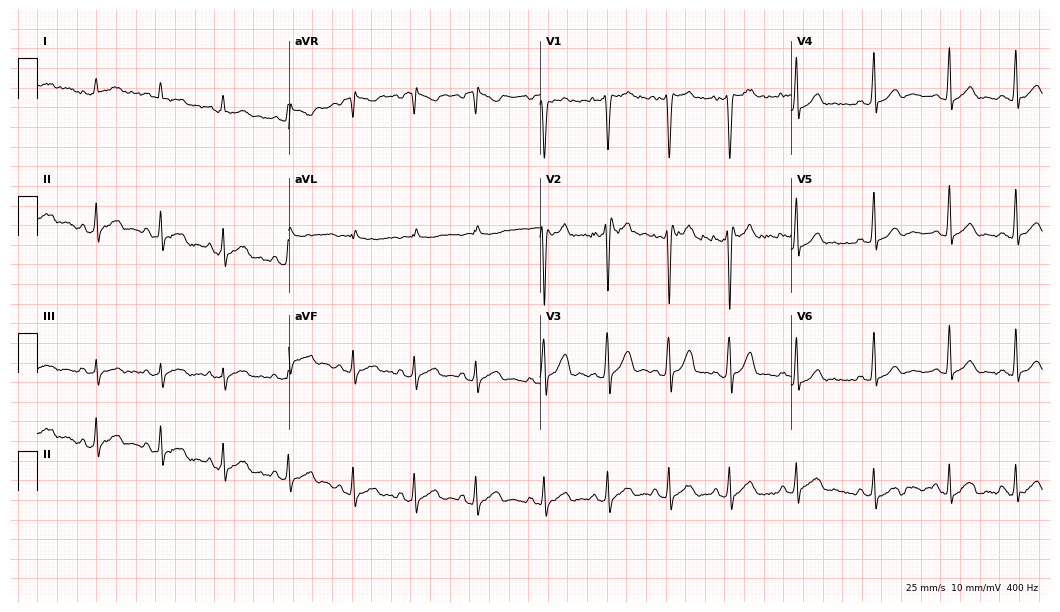
ECG (10.2-second recording at 400 Hz) — a man, 30 years old. Labelled as a normal ECG.